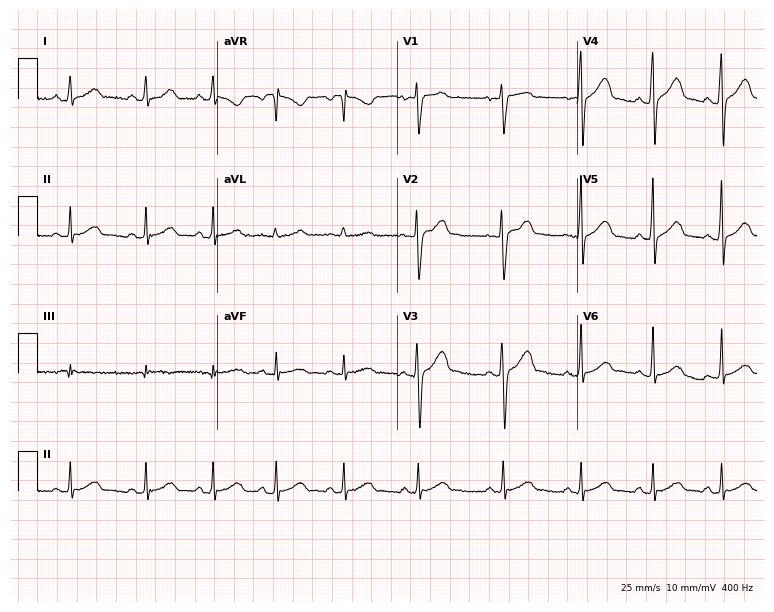
Electrocardiogram (7.3-second recording at 400 Hz), a 39-year-old male patient. Overall reading on record: normal ECG.